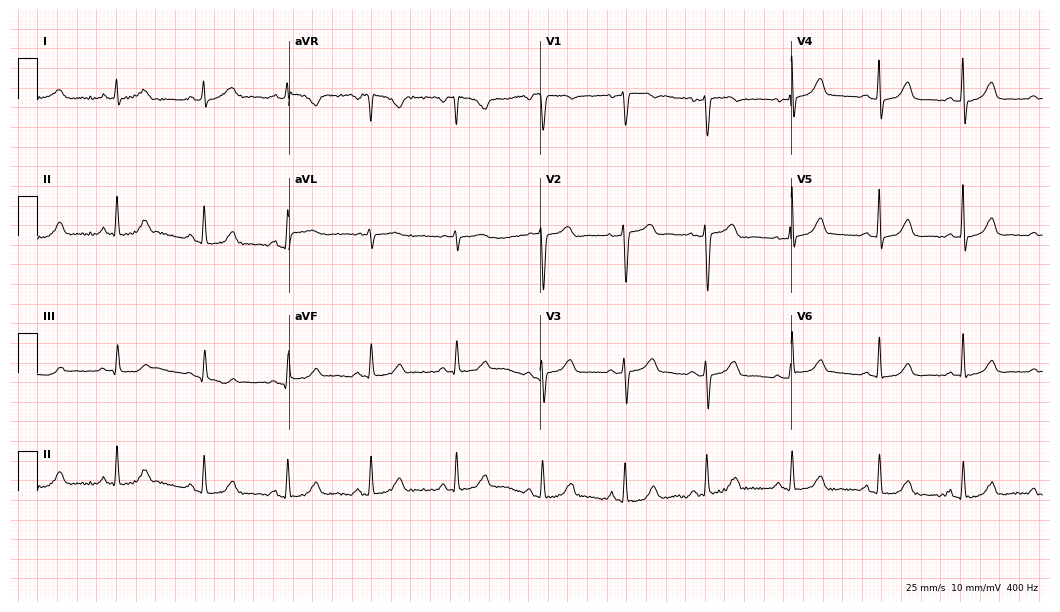
ECG (10.2-second recording at 400 Hz) — a female patient, 43 years old. Labelled as a normal ECG.